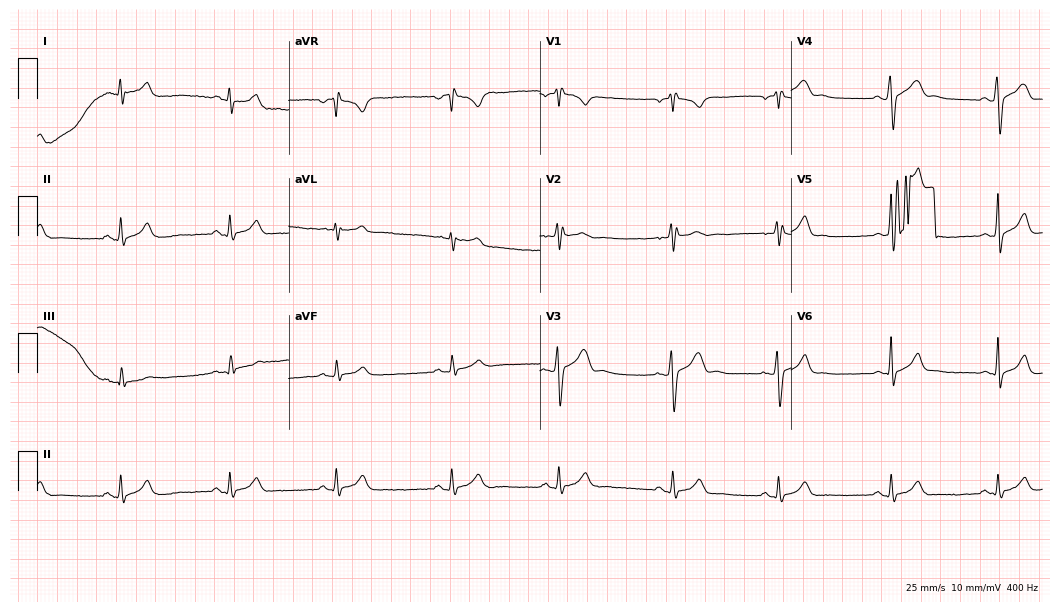
12-lead ECG (10.2-second recording at 400 Hz) from a man, 31 years old. Screened for six findings — first-degree AV block, right bundle branch block, left bundle branch block, sinus bradycardia, atrial fibrillation, sinus tachycardia — none is recorded. Only these six findings were labelled.